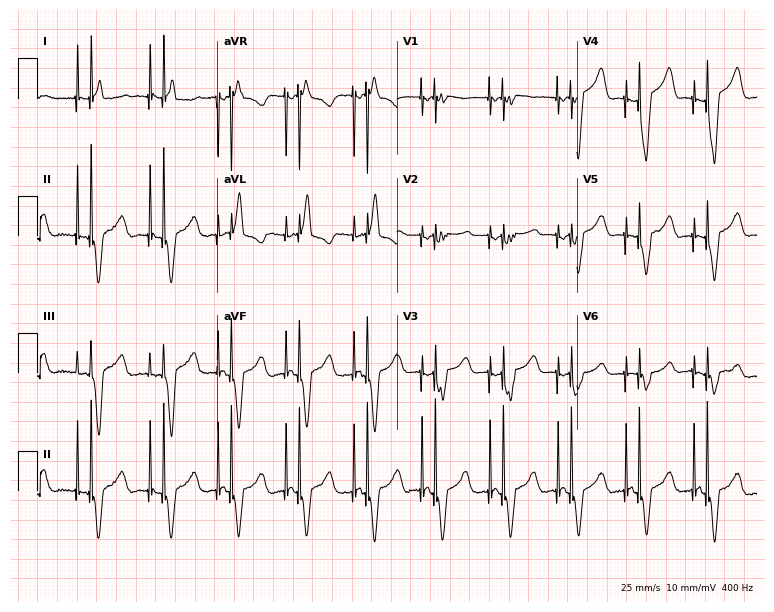
ECG — a female, 59 years old. Screened for six findings — first-degree AV block, right bundle branch block, left bundle branch block, sinus bradycardia, atrial fibrillation, sinus tachycardia — none is recorded.